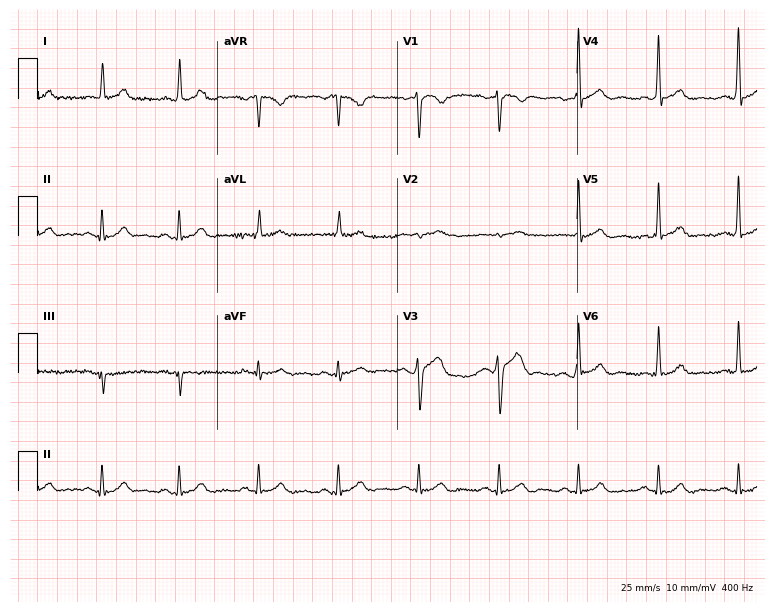
ECG — a man, 43 years old. Labelled as a normal ECG.